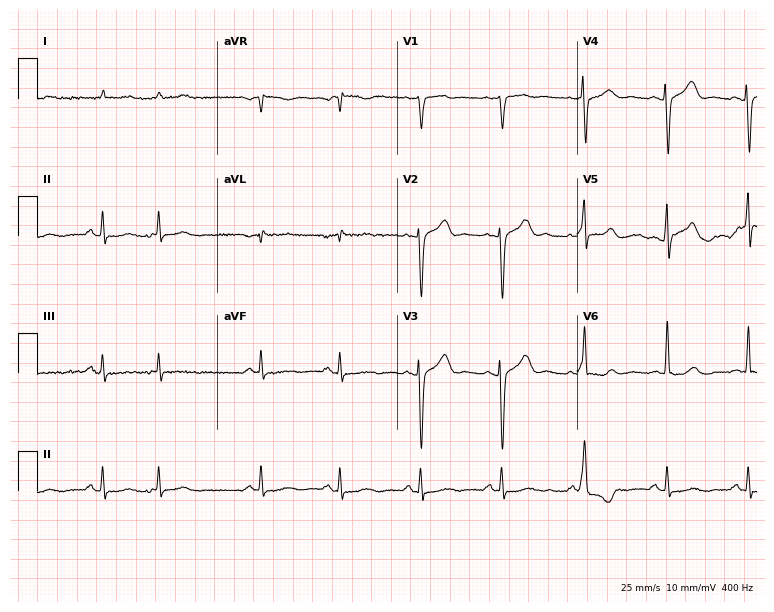
Electrocardiogram, an 83-year-old male. Of the six screened findings (first-degree AV block, right bundle branch block, left bundle branch block, sinus bradycardia, atrial fibrillation, sinus tachycardia), none is recorded.